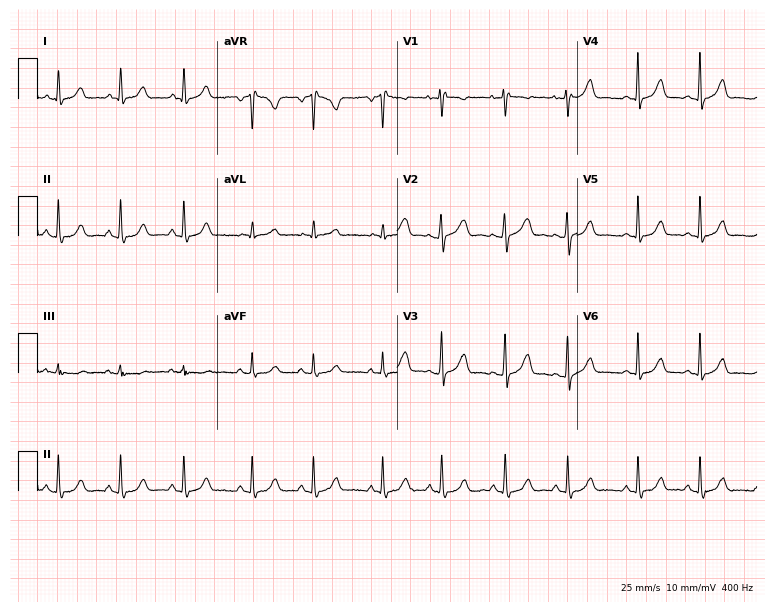
Electrocardiogram (7.3-second recording at 400 Hz), a woman, 45 years old. Overall reading on record: normal ECG.